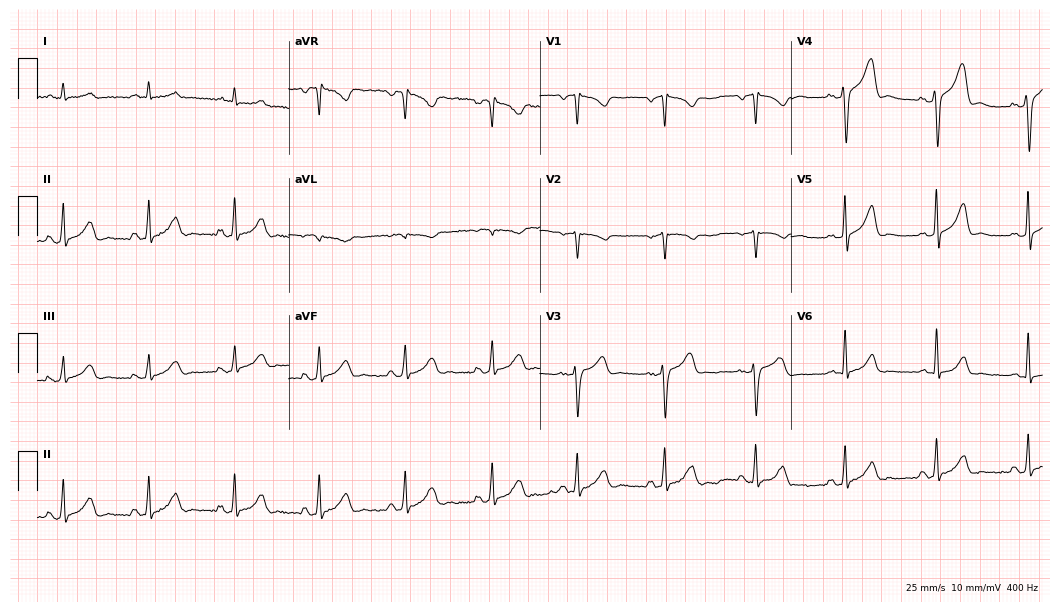
Electrocardiogram, a male patient, 46 years old. Overall reading on record: normal ECG.